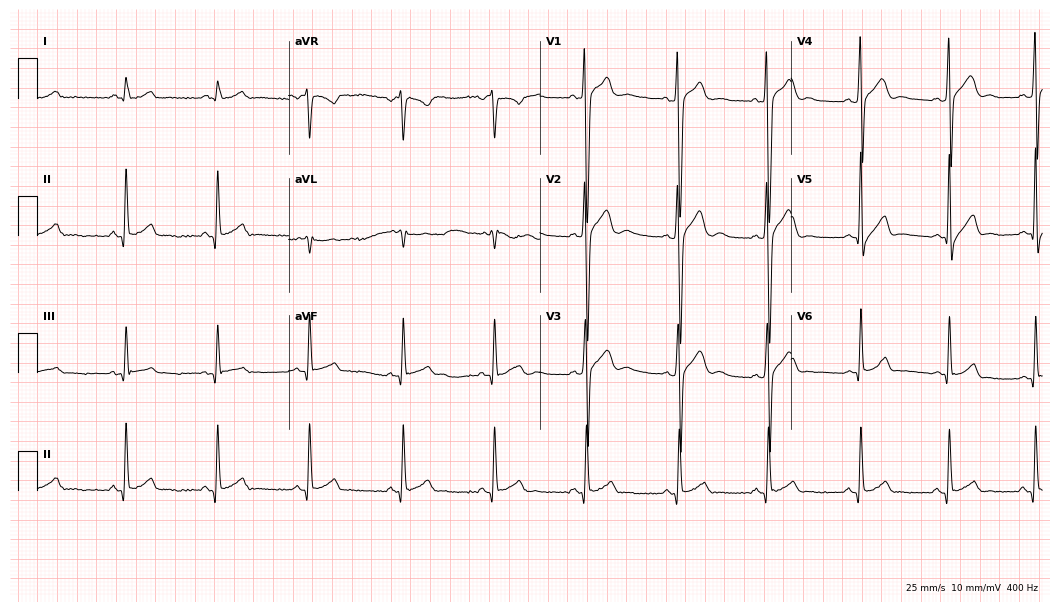
Standard 12-lead ECG recorded from a male patient, 18 years old. None of these six findings is recorded: first-degree AV block, right bundle branch block, left bundle branch block, sinus bradycardia, atrial fibrillation, sinus tachycardia.